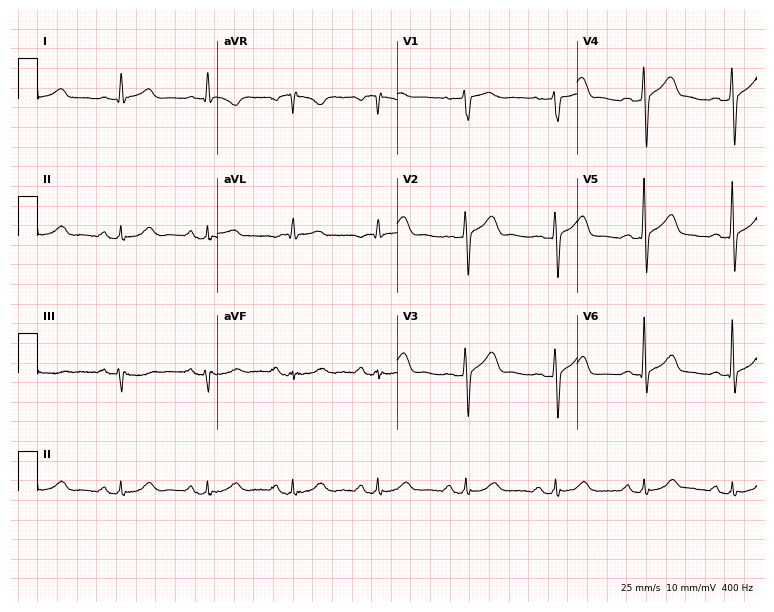
12-lead ECG from a male, 77 years old (7.3-second recording at 400 Hz). No first-degree AV block, right bundle branch block, left bundle branch block, sinus bradycardia, atrial fibrillation or sinus tachycardia recorded for this tracing. Other findings, if any, are not listed.